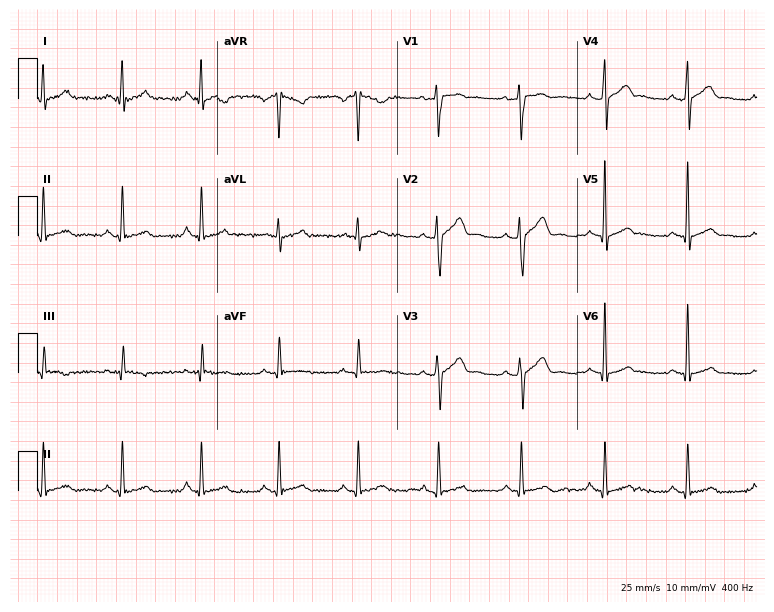
ECG (7.3-second recording at 400 Hz) — a man, 32 years old. Labelled as a normal ECG.